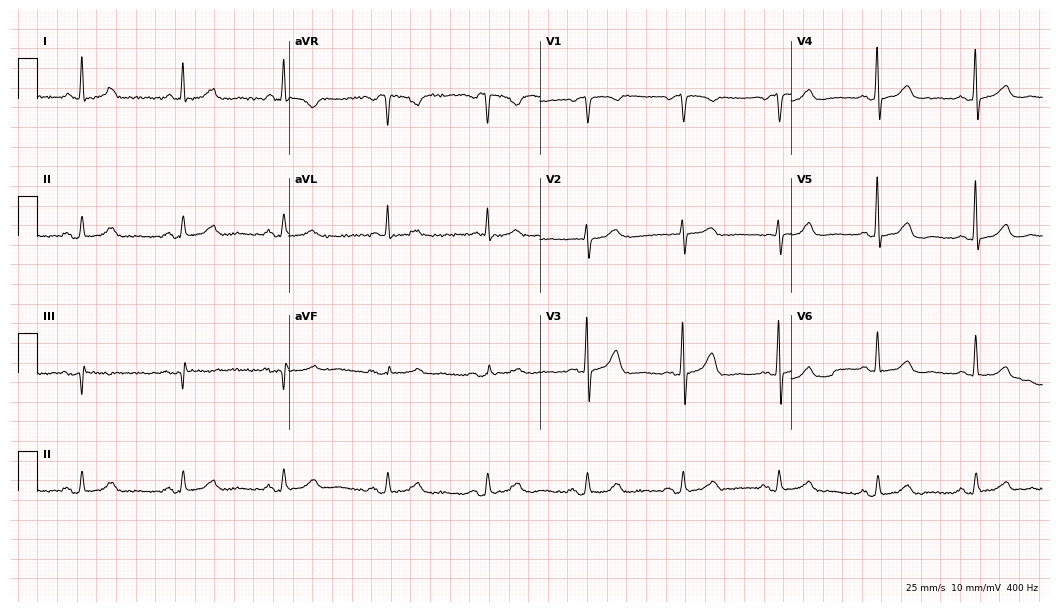
Resting 12-lead electrocardiogram. Patient: a woman, 81 years old. Read as a normal ECG.